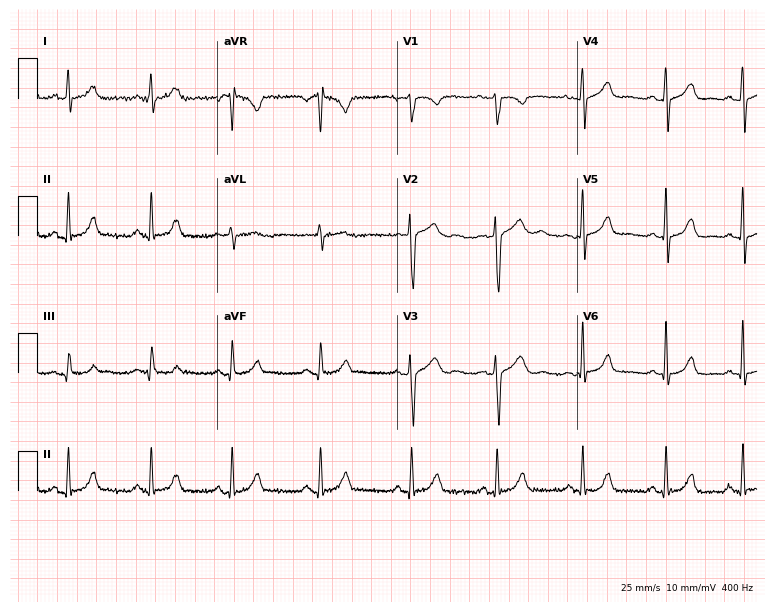
Resting 12-lead electrocardiogram (7.3-second recording at 400 Hz). Patient: a 30-year-old female. None of these six findings is recorded: first-degree AV block, right bundle branch block, left bundle branch block, sinus bradycardia, atrial fibrillation, sinus tachycardia.